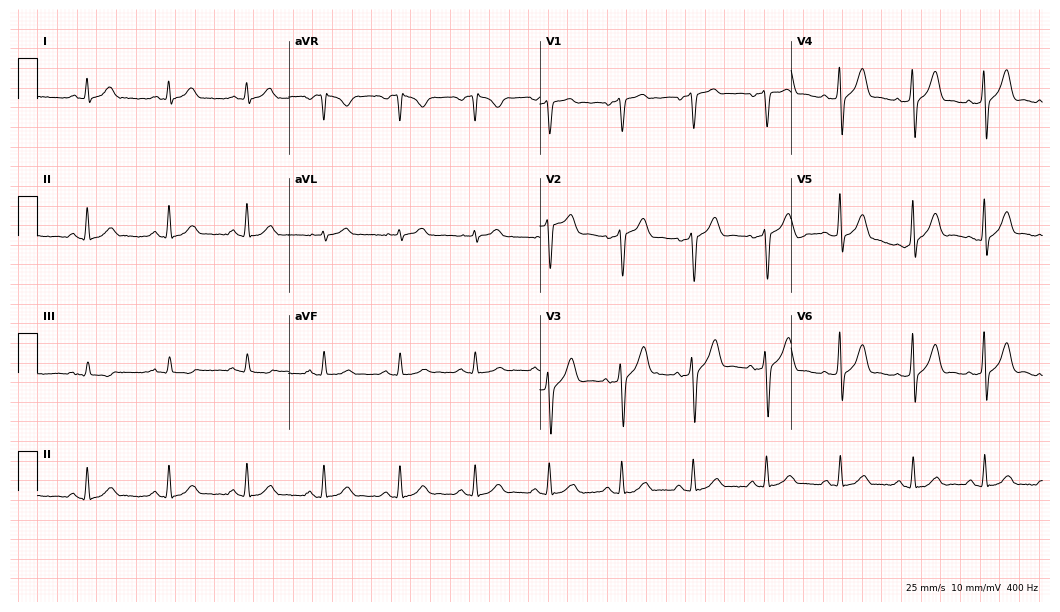
12-lead ECG (10.2-second recording at 400 Hz) from a man, 60 years old. Labelled as a normal ECG.